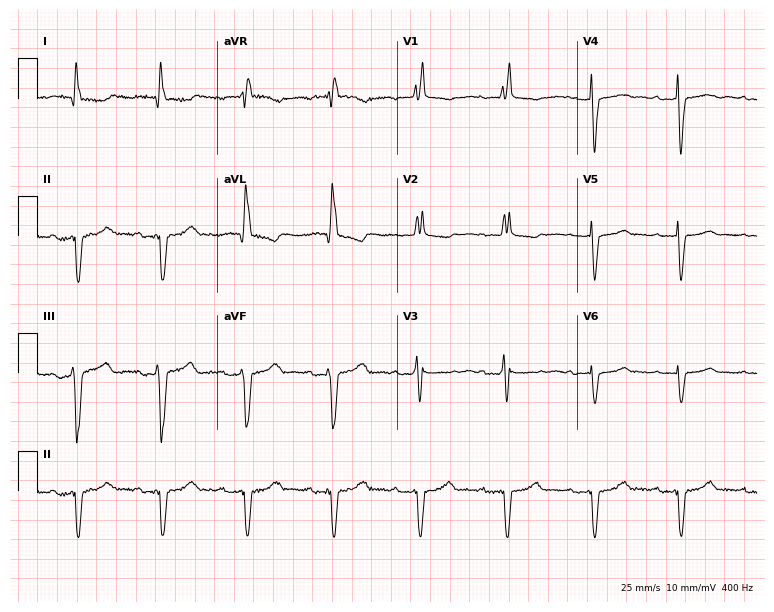
12-lead ECG from a 74-year-old female. Shows first-degree AV block, right bundle branch block.